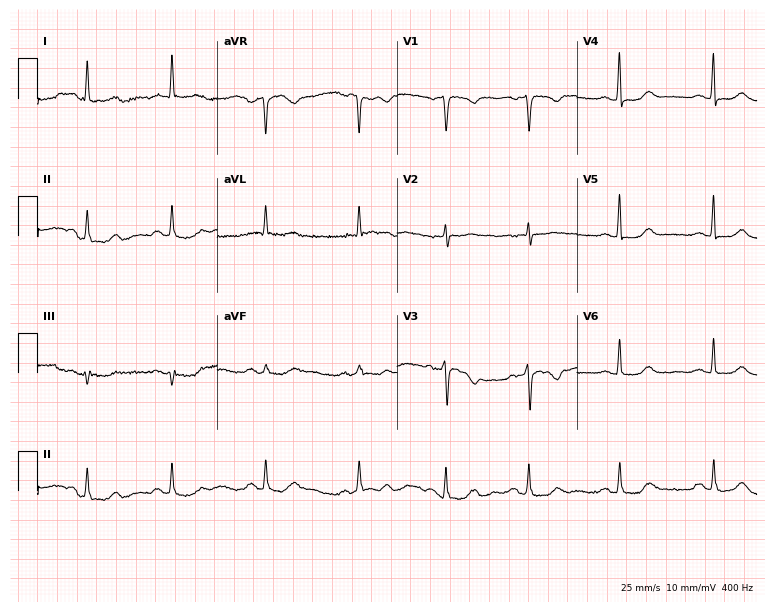
Electrocardiogram (7.3-second recording at 400 Hz), a 77-year-old female. Of the six screened findings (first-degree AV block, right bundle branch block, left bundle branch block, sinus bradycardia, atrial fibrillation, sinus tachycardia), none is recorded.